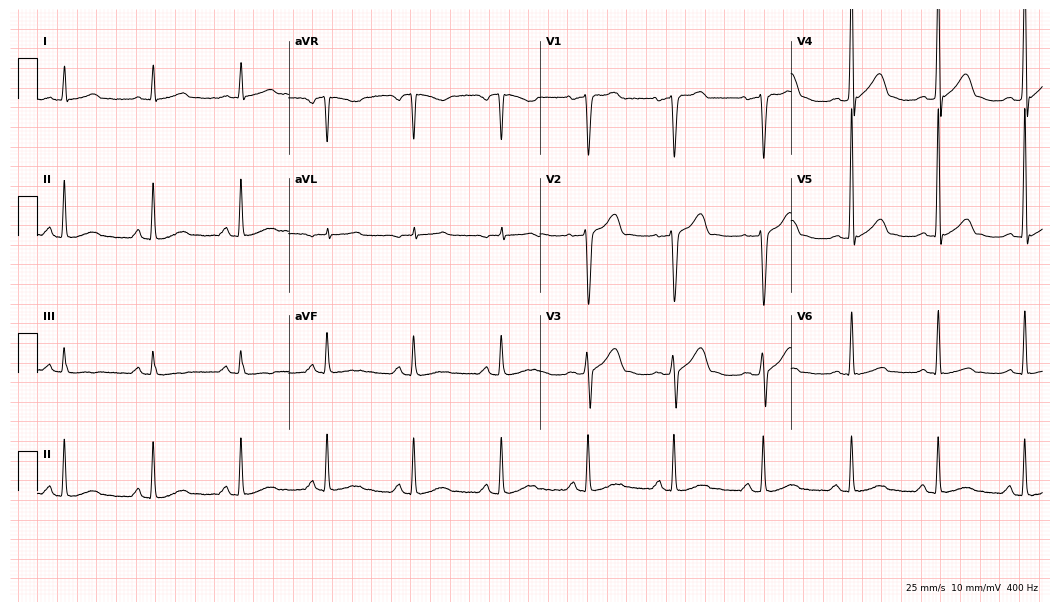
Standard 12-lead ECG recorded from a 44-year-old male. None of these six findings is recorded: first-degree AV block, right bundle branch block, left bundle branch block, sinus bradycardia, atrial fibrillation, sinus tachycardia. Other findings, if any, are not listed.